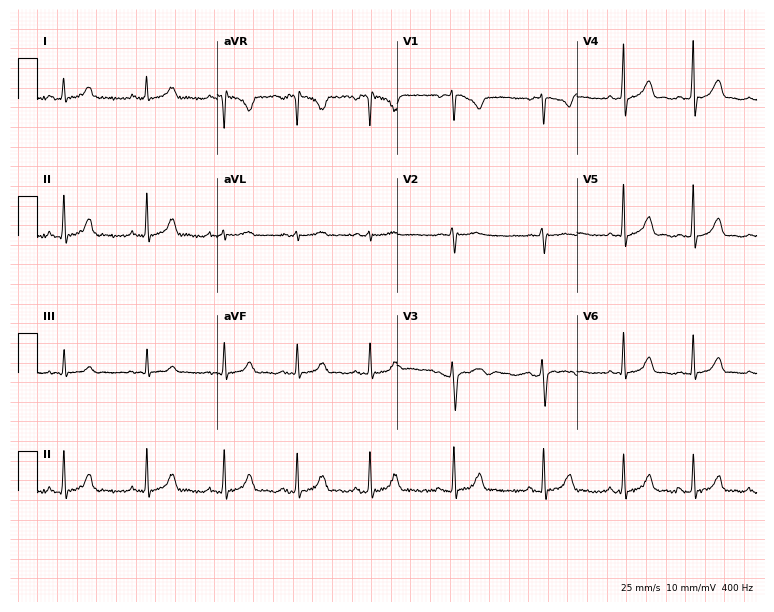
Resting 12-lead electrocardiogram (7.3-second recording at 400 Hz). Patient: a 19-year-old female. Read as a normal ECG.